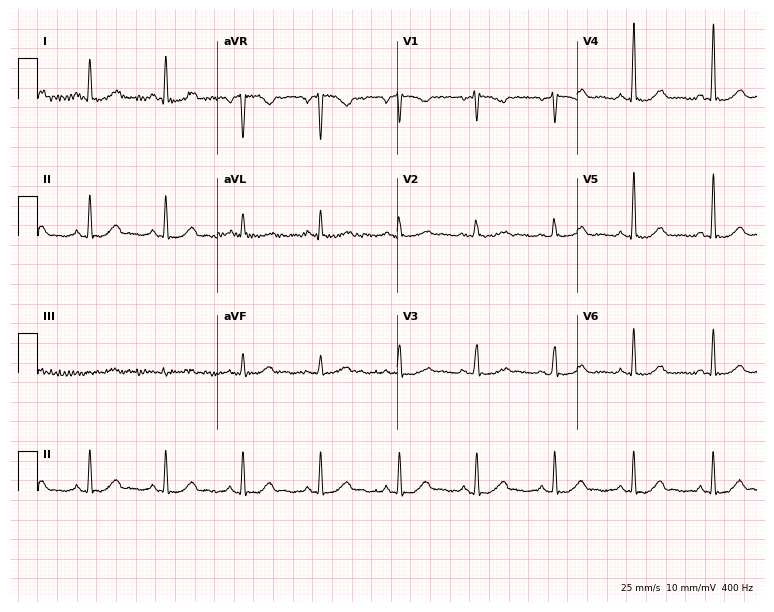
12-lead ECG from a 58-year-old woman. Labelled as a normal ECG.